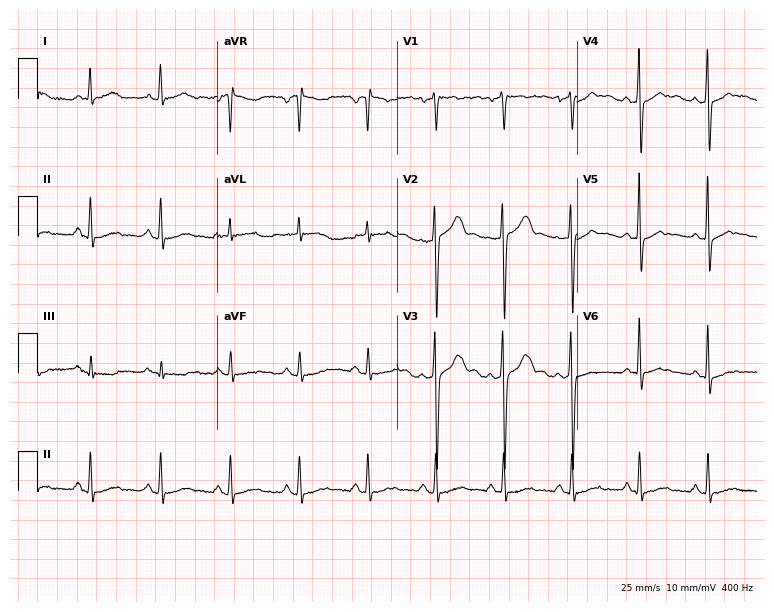
12-lead ECG (7.3-second recording at 400 Hz) from a male patient, 63 years old. Screened for six findings — first-degree AV block, right bundle branch block (RBBB), left bundle branch block (LBBB), sinus bradycardia, atrial fibrillation (AF), sinus tachycardia — none is recorded.